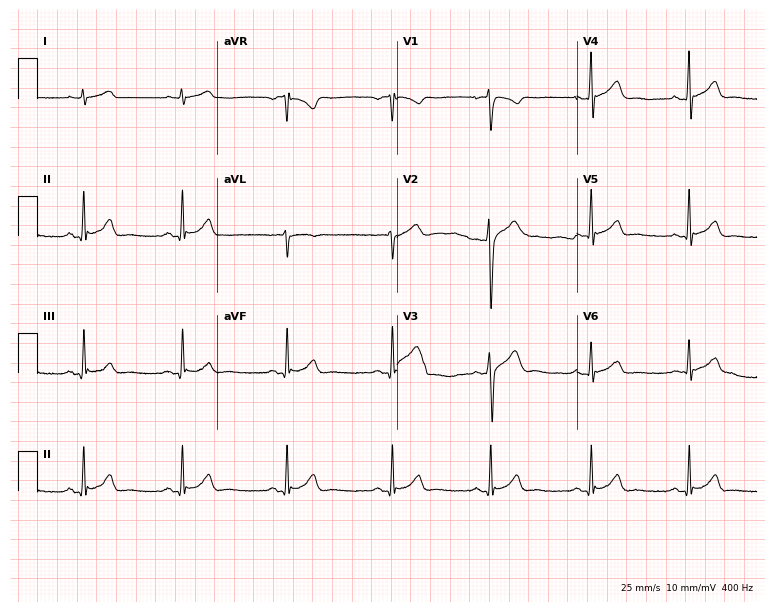
Electrocardiogram, a 32-year-old male. Of the six screened findings (first-degree AV block, right bundle branch block, left bundle branch block, sinus bradycardia, atrial fibrillation, sinus tachycardia), none is recorded. Findings outside these six are not listed.